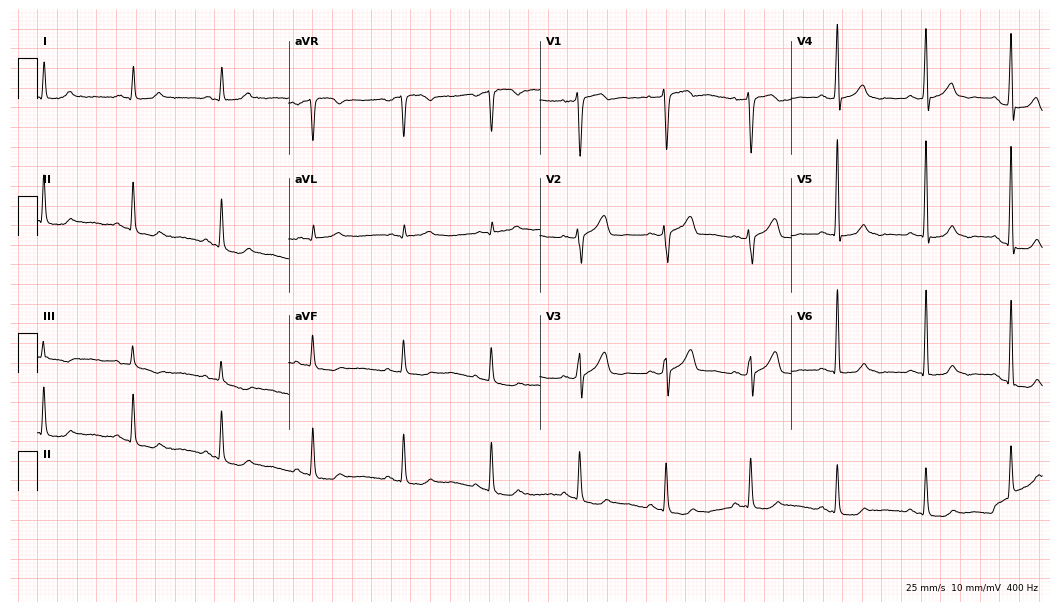
Electrocardiogram (10.2-second recording at 400 Hz), a 48-year-old male. Of the six screened findings (first-degree AV block, right bundle branch block, left bundle branch block, sinus bradycardia, atrial fibrillation, sinus tachycardia), none is recorded.